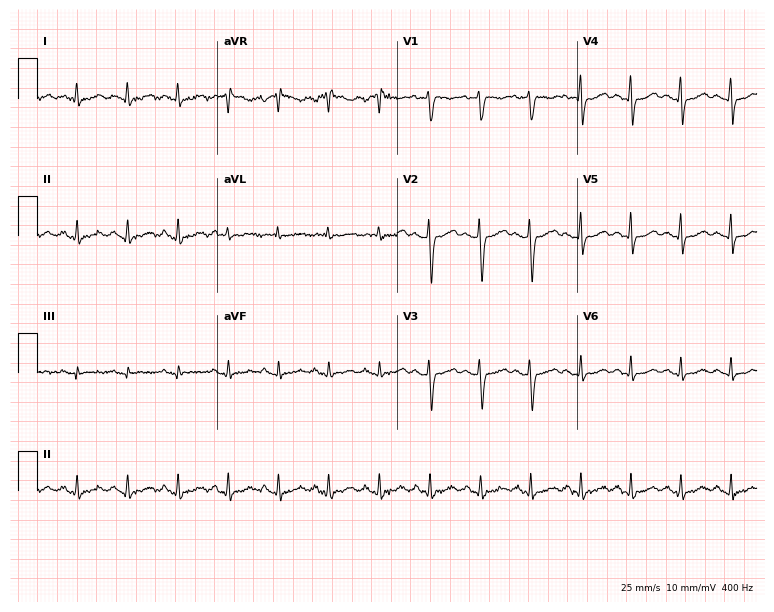
12-lead ECG (7.3-second recording at 400 Hz) from a female patient, 37 years old. Findings include sinus tachycardia (a sinus rate of 100 beats per minute or more).